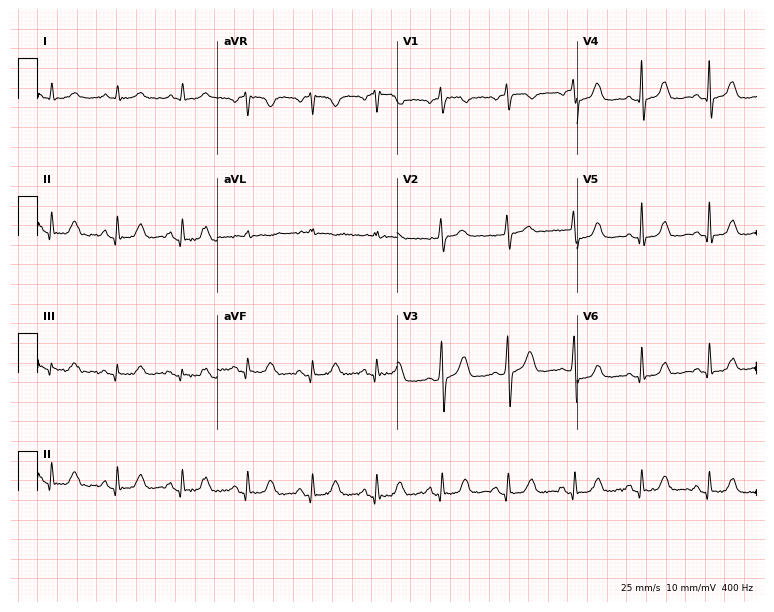
ECG — a 78-year-old female patient. Screened for six findings — first-degree AV block, right bundle branch block (RBBB), left bundle branch block (LBBB), sinus bradycardia, atrial fibrillation (AF), sinus tachycardia — none is recorded. Findings outside these six are not listed.